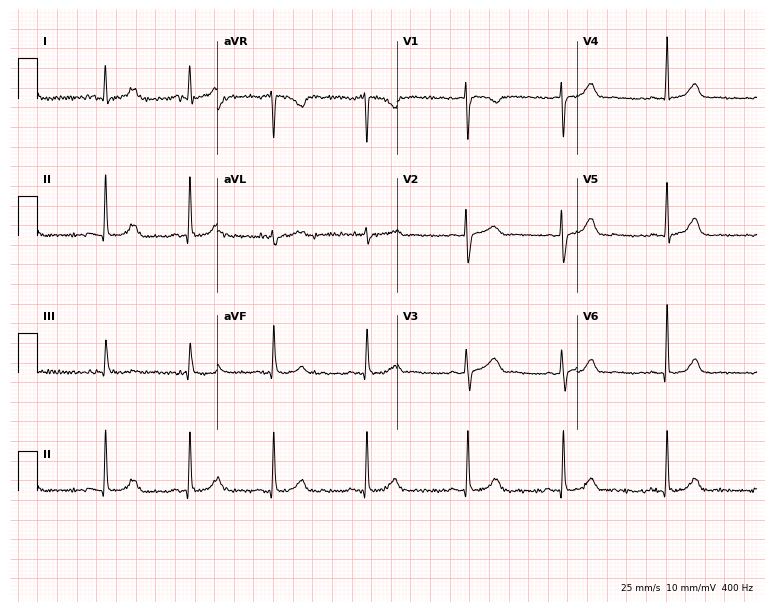
Electrocardiogram, a female patient, 38 years old. Overall reading on record: normal ECG.